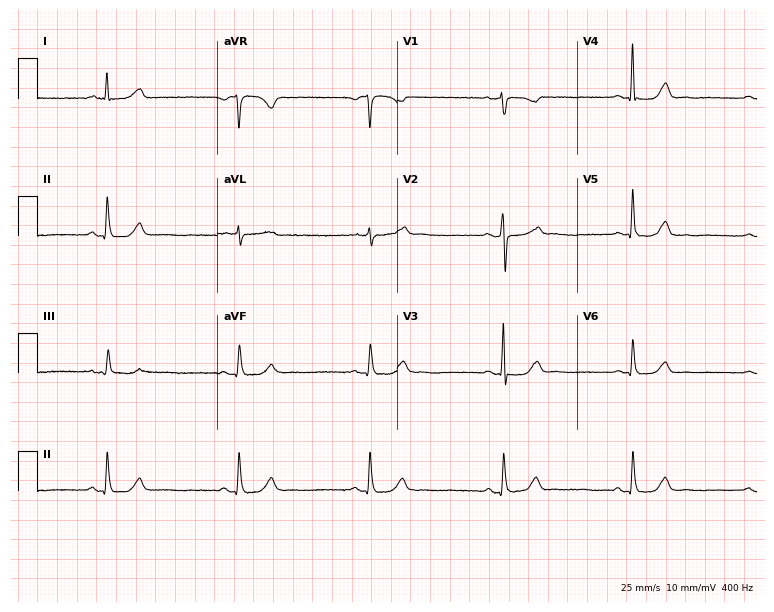
Standard 12-lead ECG recorded from a 57-year-old female patient. The tracing shows sinus bradycardia (a sinus rate of 50 beats per minute or less).